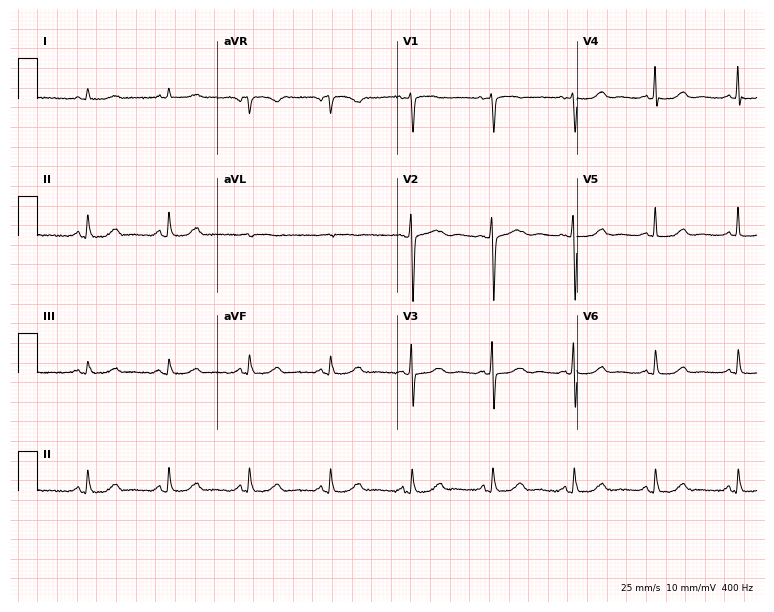
ECG — a female, 73 years old. Labelled as a normal ECG.